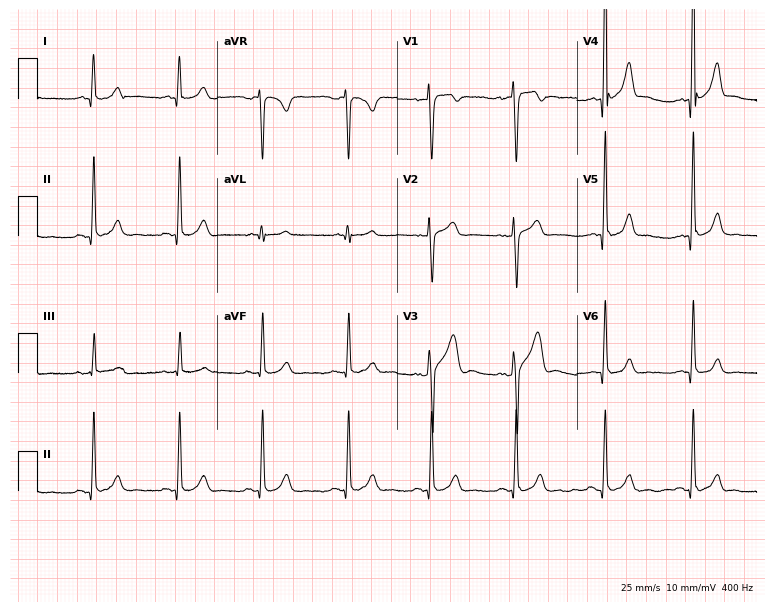
Electrocardiogram, a man, 28 years old. Of the six screened findings (first-degree AV block, right bundle branch block, left bundle branch block, sinus bradycardia, atrial fibrillation, sinus tachycardia), none is recorded. Only these six findings were labelled.